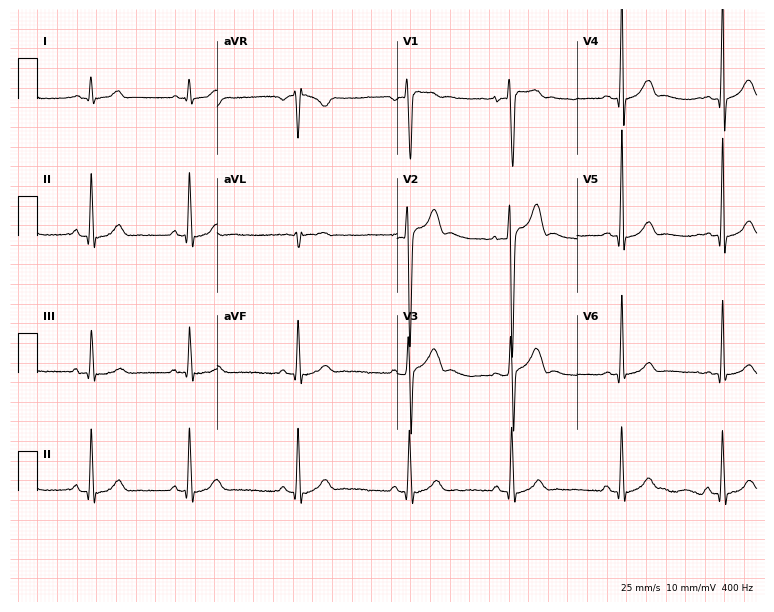
12-lead ECG from an 18-year-old female. Labelled as a normal ECG.